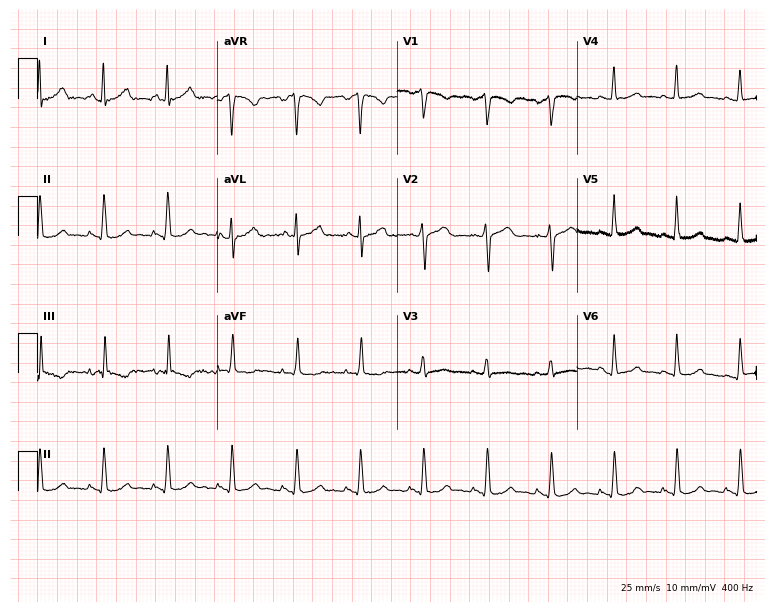
Standard 12-lead ECG recorded from a 30-year-old female (7.3-second recording at 400 Hz). Read as a normal ECG.